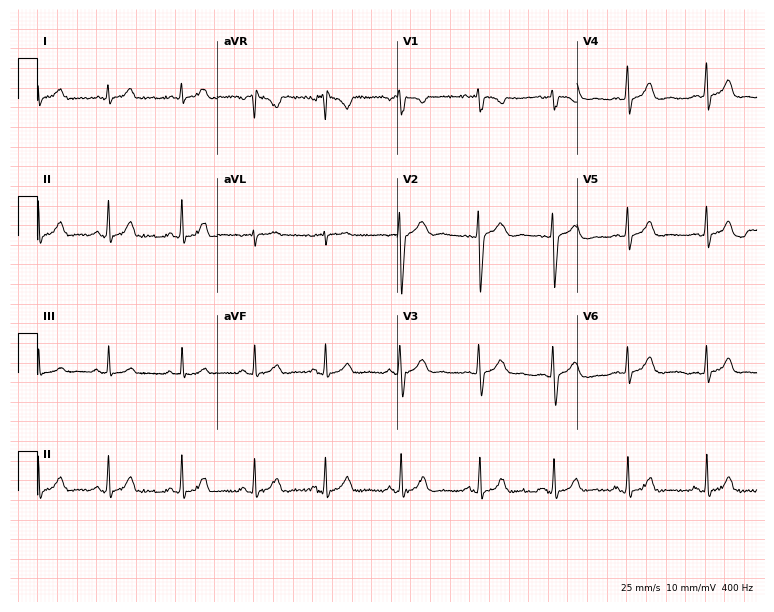
Standard 12-lead ECG recorded from a female patient, 23 years old. Read as a normal ECG.